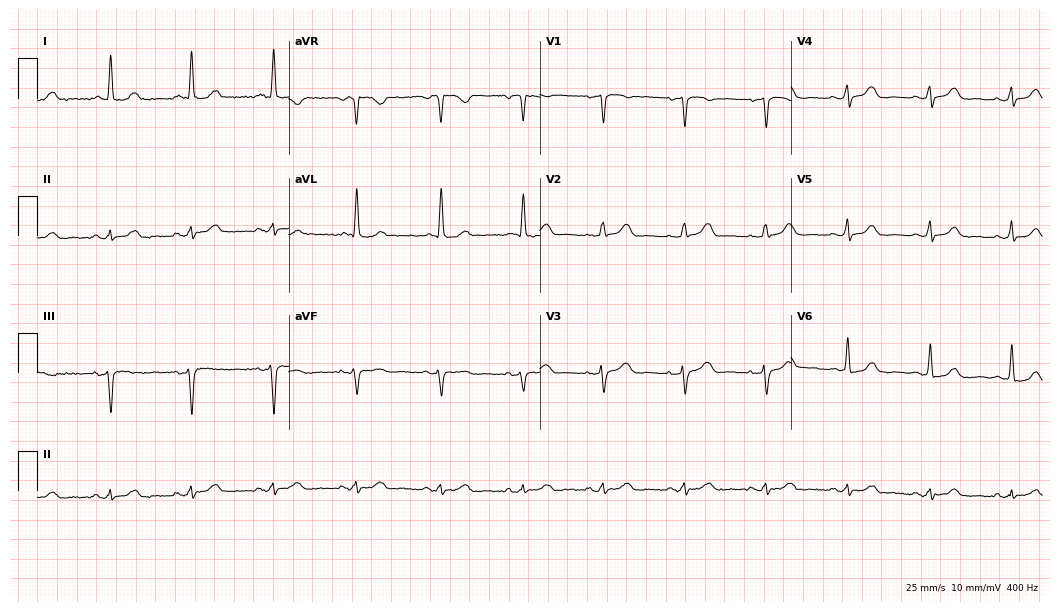
Resting 12-lead electrocardiogram (10.2-second recording at 400 Hz). Patient: a female, 61 years old. Read as a normal ECG.